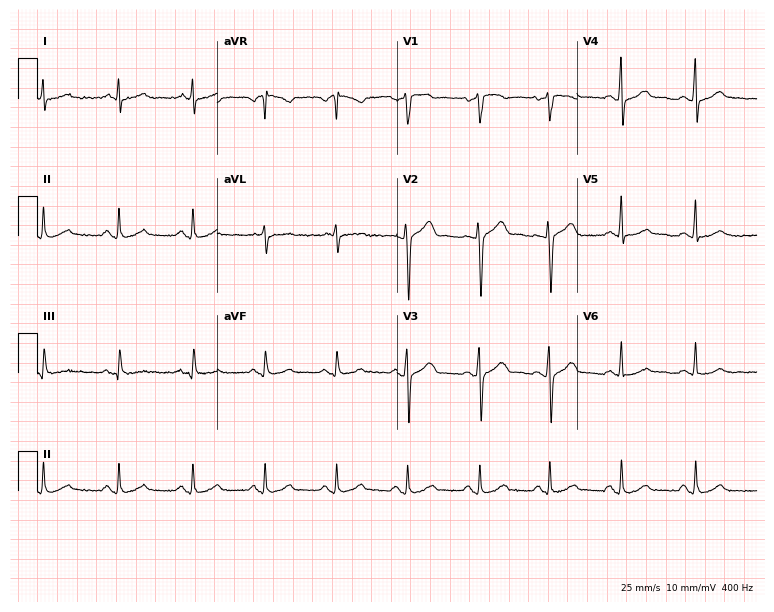
Standard 12-lead ECG recorded from a 42-year-old male (7.3-second recording at 400 Hz). Read as a normal ECG.